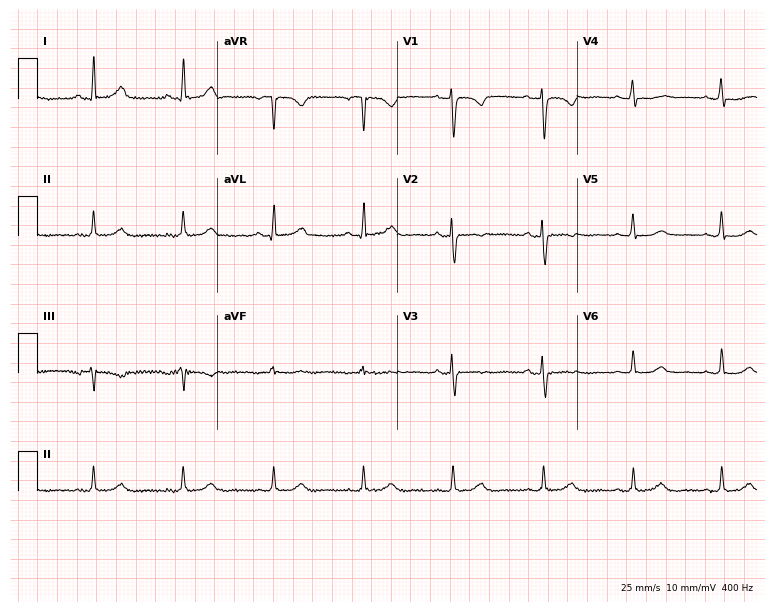
12-lead ECG (7.3-second recording at 400 Hz) from a 52-year-old female. Screened for six findings — first-degree AV block, right bundle branch block (RBBB), left bundle branch block (LBBB), sinus bradycardia, atrial fibrillation (AF), sinus tachycardia — none is recorded. Other findings, if any, are not listed.